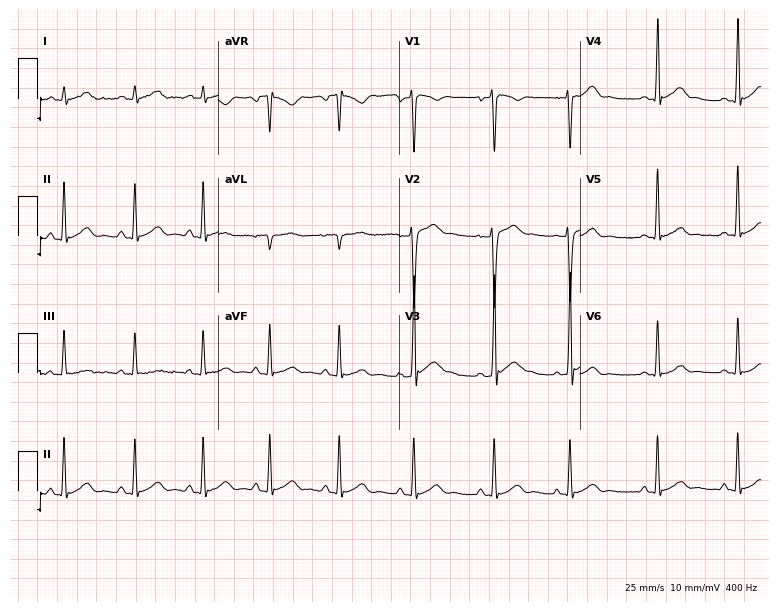
ECG (7.4-second recording at 400 Hz) — a male patient, 18 years old. Screened for six findings — first-degree AV block, right bundle branch block (RBBB), left bundle branch block (LBBB), sinus bradycardia, atrial fibrillation (AF), sinus tachycardia — none is recorded.